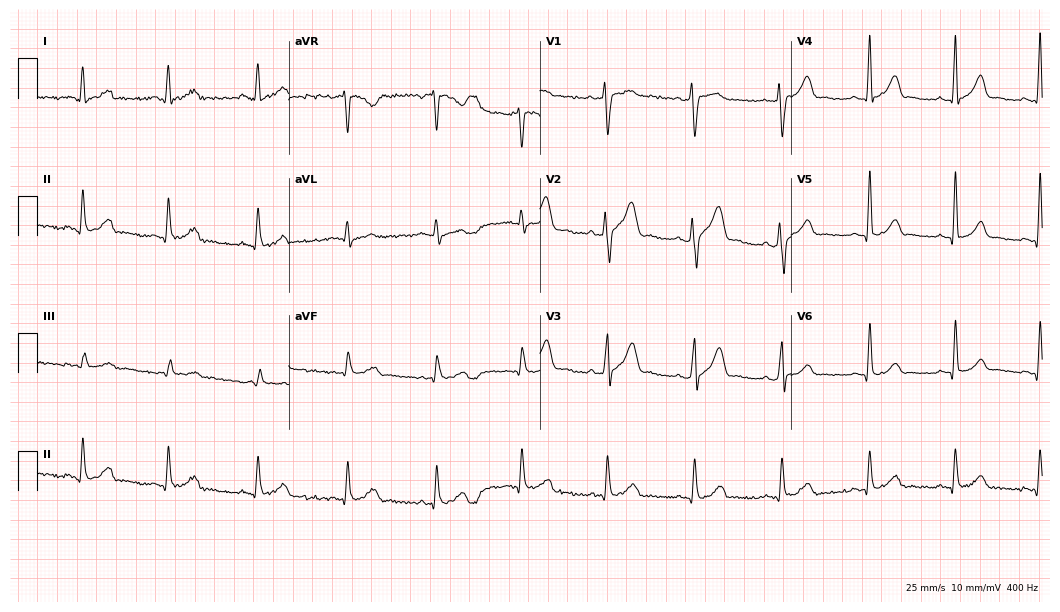
Resting 12-lead electrocardiogram. Patient: a 25-year-old male. None of these six findings is recorded: first-degree AV block, right bundle branch block, left bundle branch block, sinus bradycardia, atrial fibrillation, sinus tachycardia.